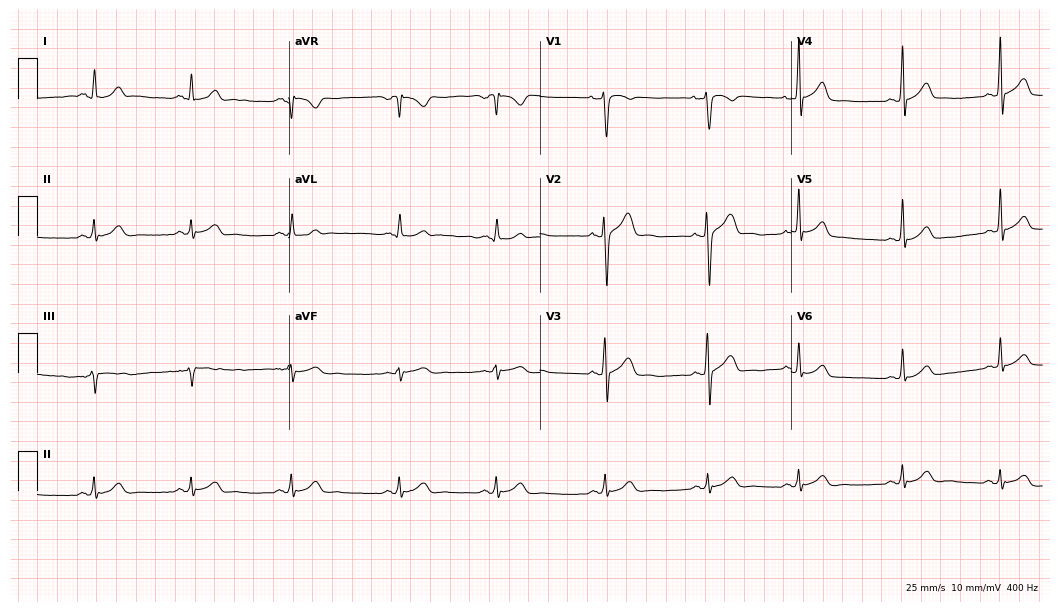
12-lead ECG from a male patient, 27 years old (10.2-second recording at 400 Hz). Recorded interpretation: within normal limits.